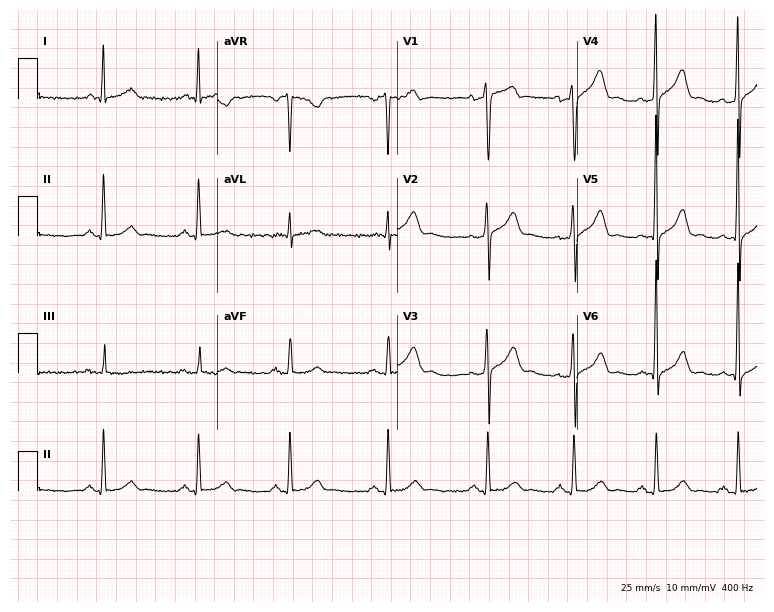
ECG — a male, 23 years old. Screened for six findings — first-degree AV block, right bundle branch block, left bundle branch block, sinus bradycardia, atrial fibrillation, sinus tachycardia — none is recorded. Only these six findings were labelled.